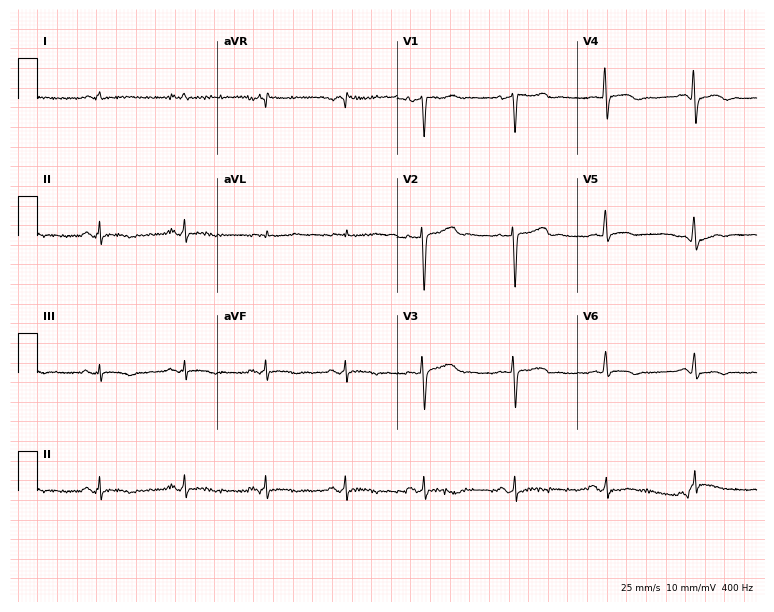
Standard 12-lead ECG recorded from a woman, 65 years old (7.3-second recording at 400 Hz). None of these six findings is recorded: first-degree AV block, right bundle branch block, left bundle branch block, sinus bradycardia, atrial fibrillation, sinus tachycardia. Findings outside these six are not listed.